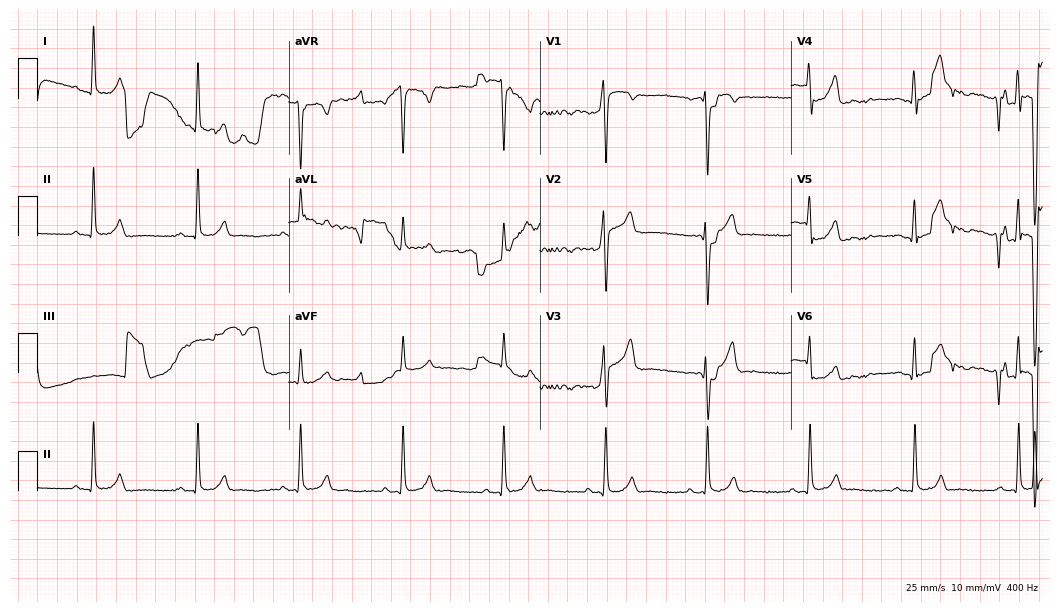
ECG — a male, 22 years old. Screened for six findings — first-degree AV block, right bundle branch block, left bundle branch block, sinus bradycardia, atrial fibrillation, sinus tachycardia — none is recorded. Only these six findings were labelled.